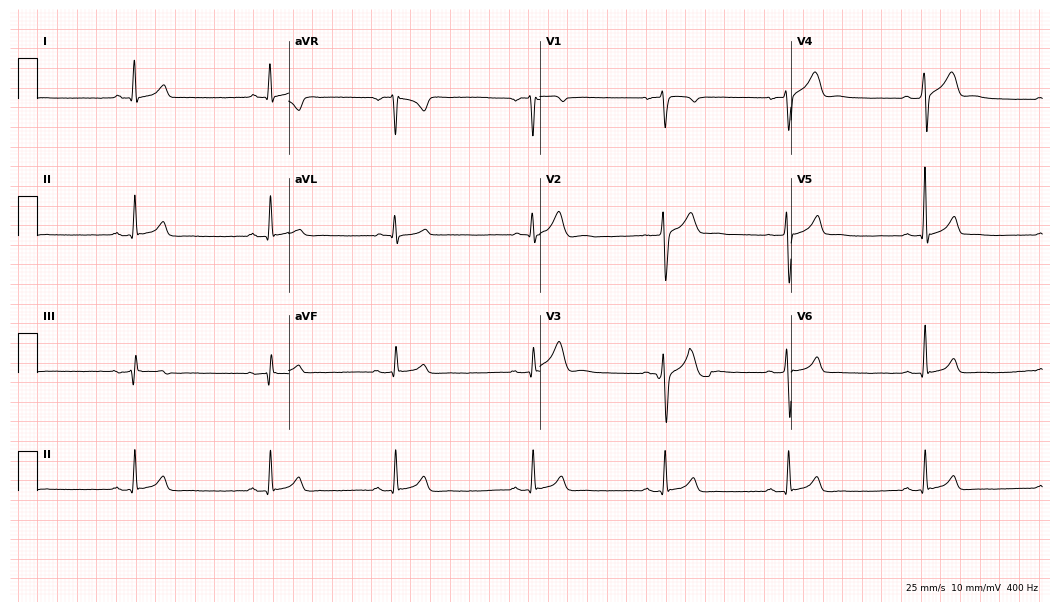
Electrocardiogram, a 38-year-old man. Interpretation includes sinus bradycardia (a sinus rate of 50 beats per minute or less).